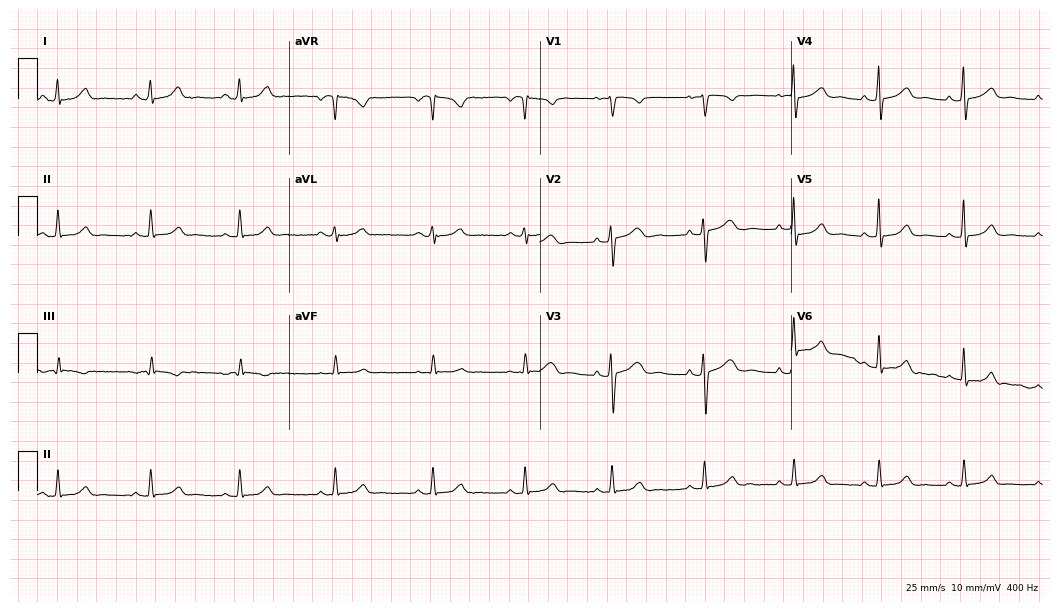
Electrocardiogram, a woman, 24 years old. Overall reading on record: normal ECG.